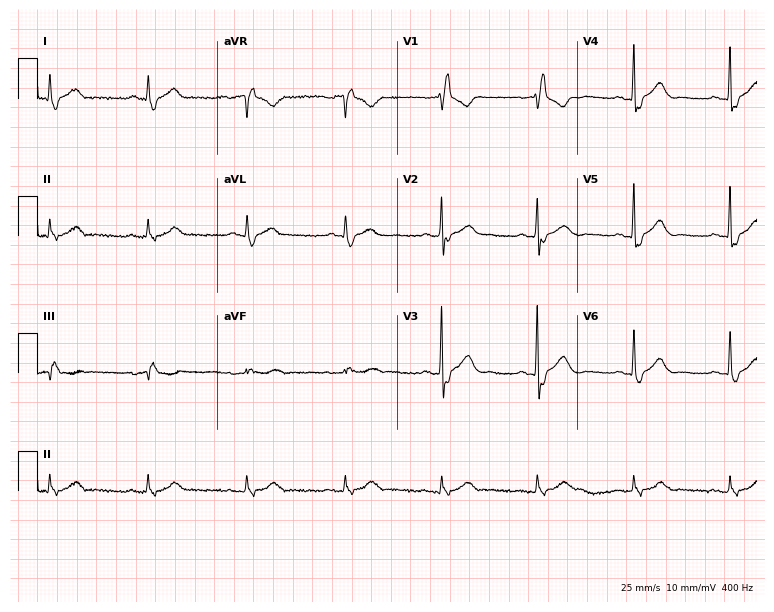
Electrocardiogram, a male, 64 years old. Interpretation includes right bundle branch block.